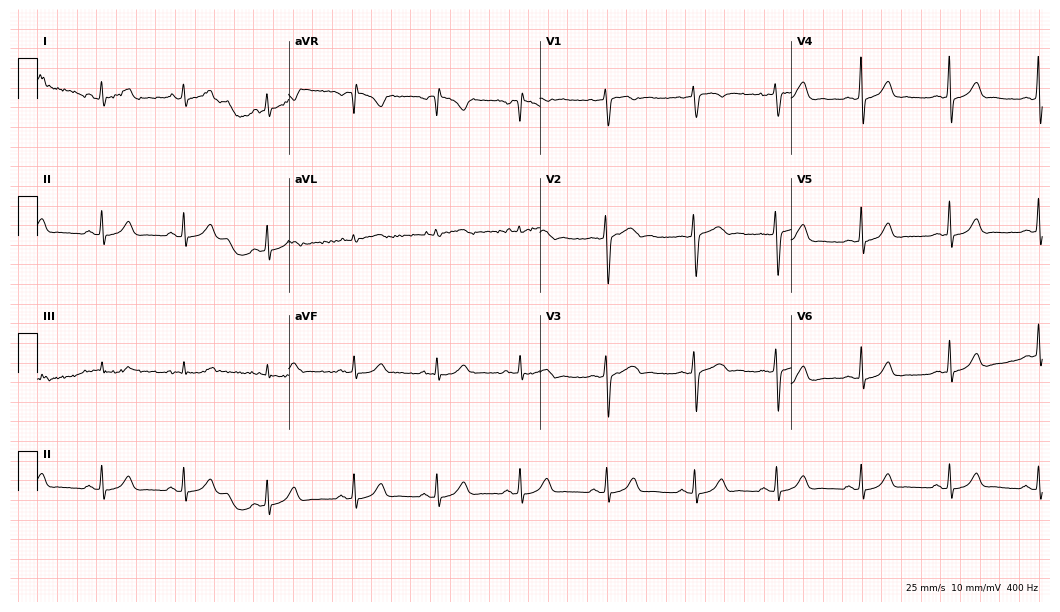
Electrocardiogram, a 33-year-old female patient. Overall reading on record: normal ECG.